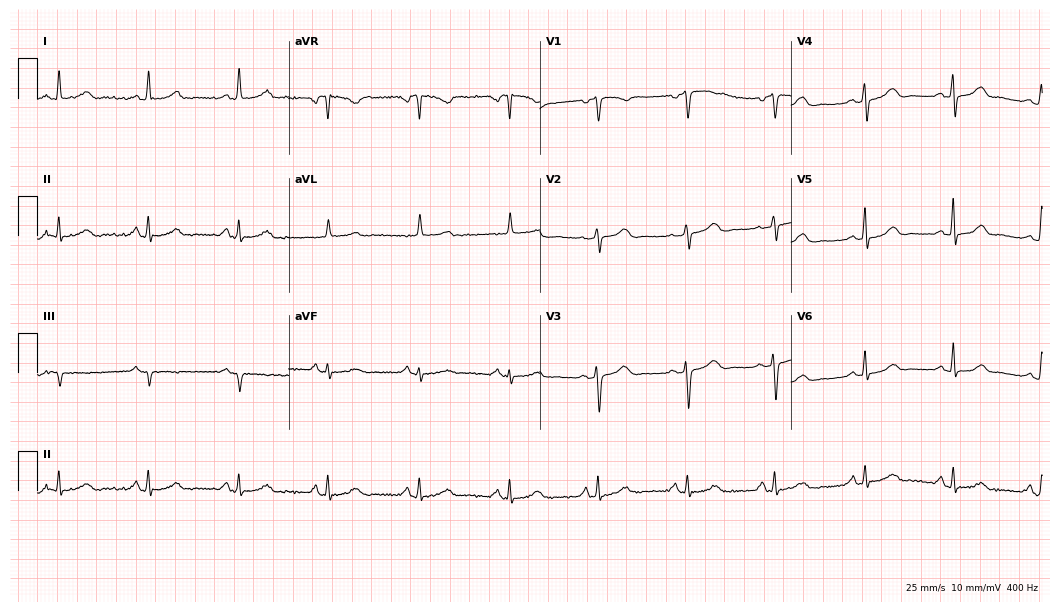
Resting 12-lead electrocardiogram. Patient: a 56-year-old female. Read as a normal ECG.